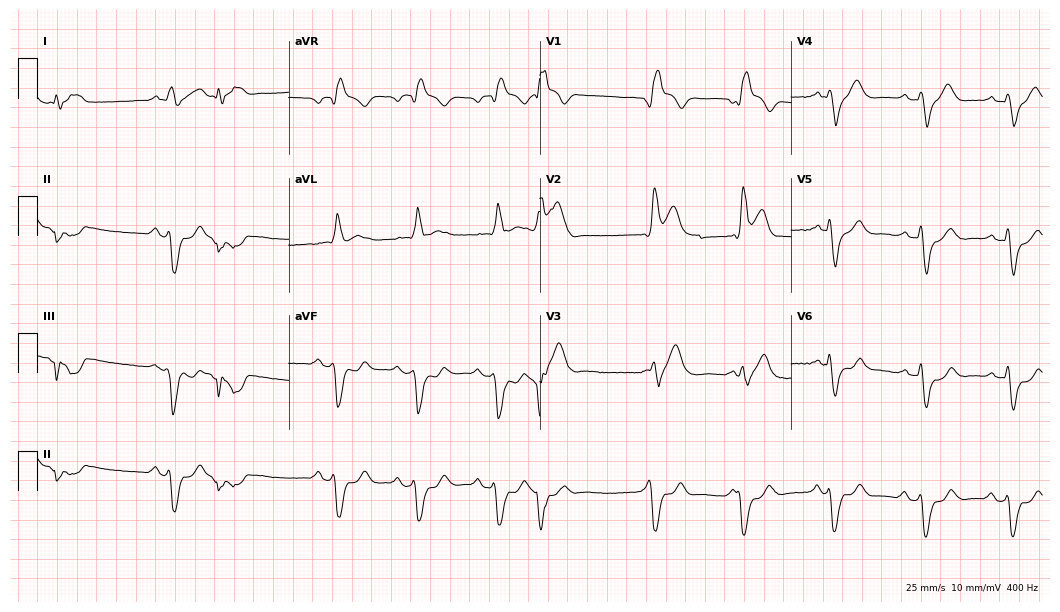
Standard 12-lead ECG recorded from a 71-year-old male patient (10.2-second recording at 400 Hz). The tracing shows right bundle branch block (RBBB).